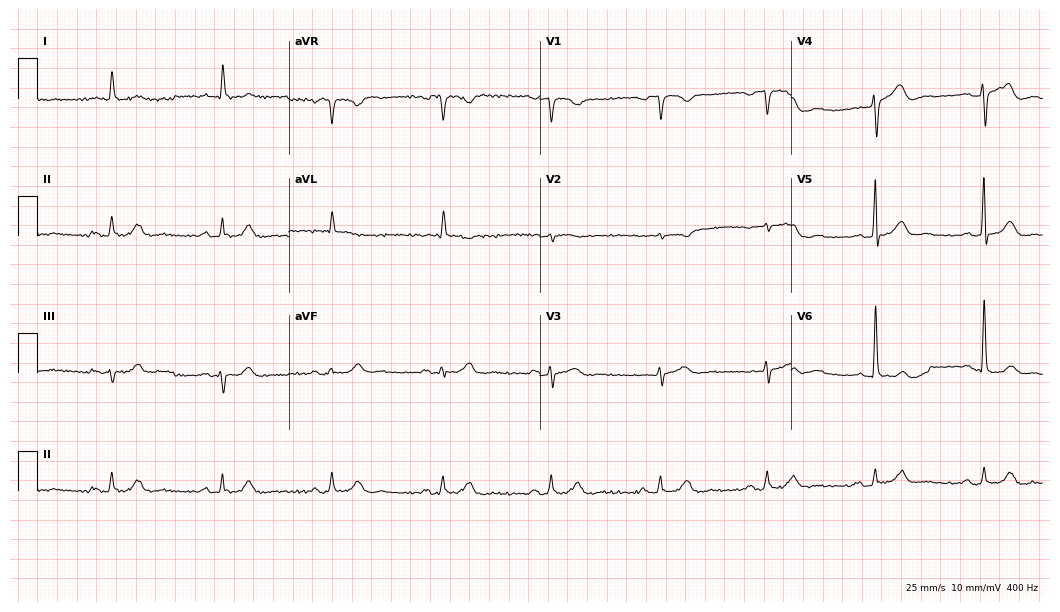
ECG — an 84-year-old male. Screened for six findings — first-degree AV block, right bundle branch block, left bundle branch block, sinus bradycardia, atrial fibrillation, sinus tachycardia — none is recorded. Findings outside these six are not listed.